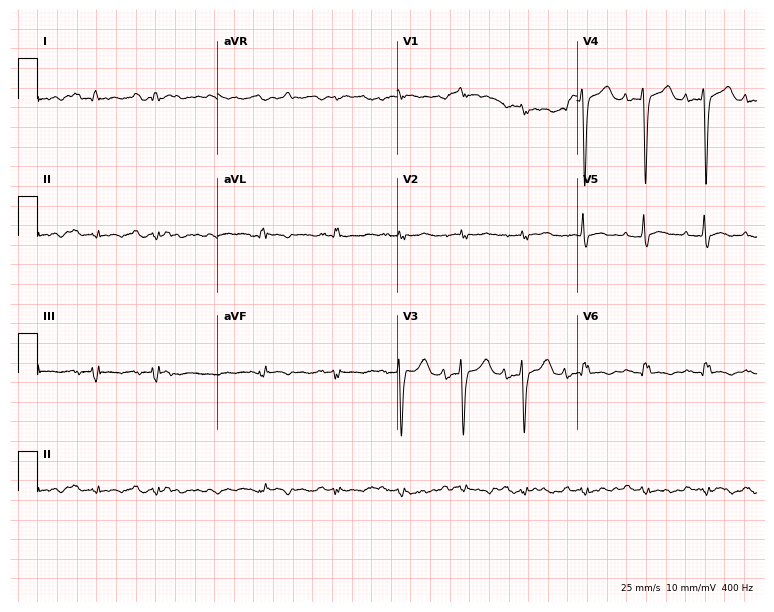
Resting 12-lead electrocardiogram (7.3-second recording at 400 Hz). Patient: a 58-year-old male. The tracing shows first-degree AV block.